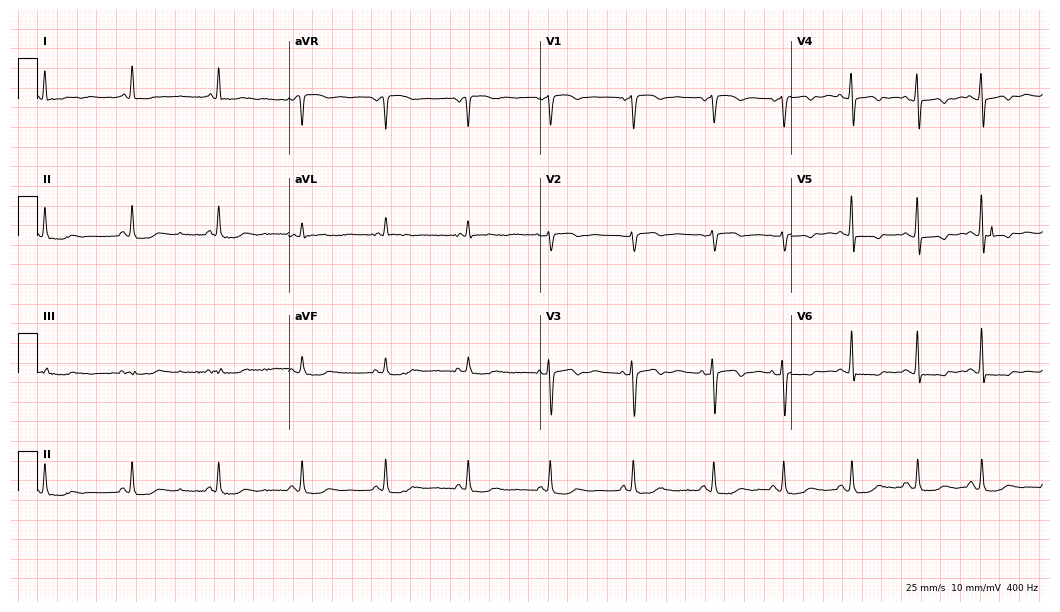
Electrocardiogram, a woman, 57 years old. Of the six screened findings (first-degree AV block, right bundle branch block (RBBB), left bundle branch block (LBBB), sinus bradycardia, atrial fibrillation (AF), sinus tachycardia), none is recorded. Other findings, if any, are not listed.